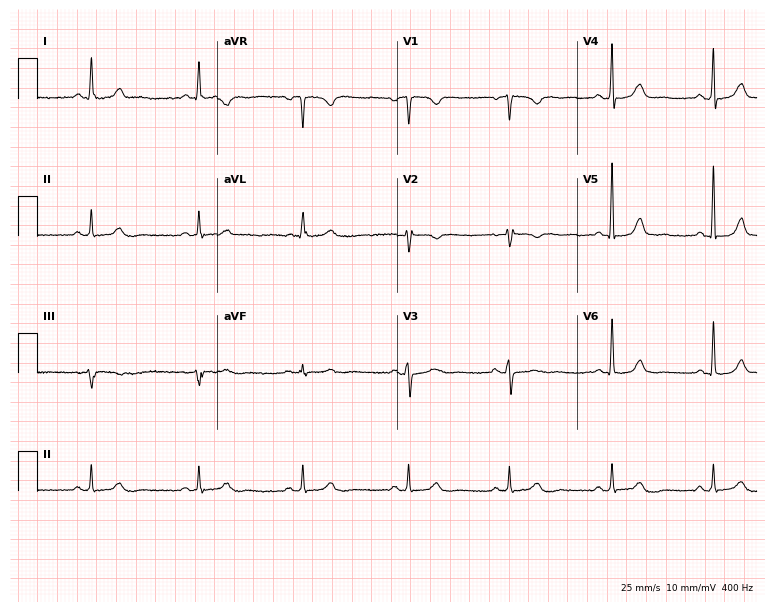
ECG — a 57-year-old woman. Labelled as a normal ECG.